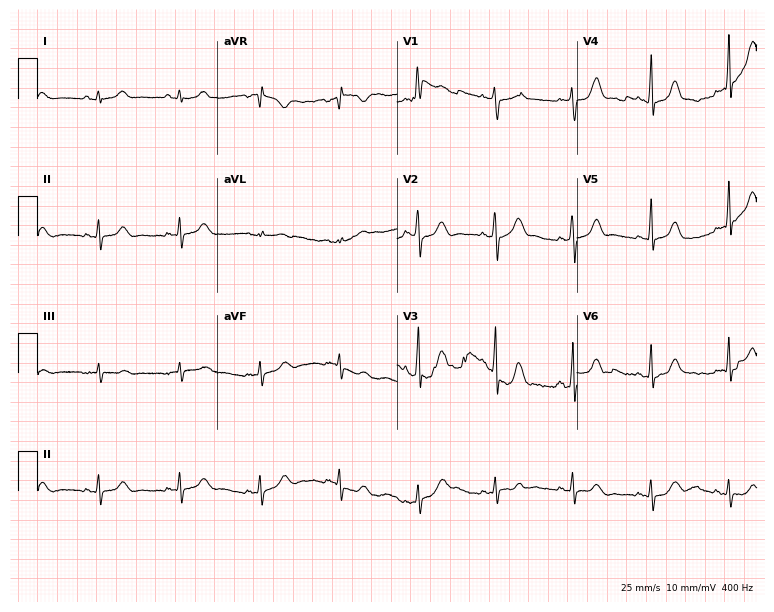
Resting 12-lead electrocardiogram. Patient: a 46-year-old woman. Read as a normal ECG.